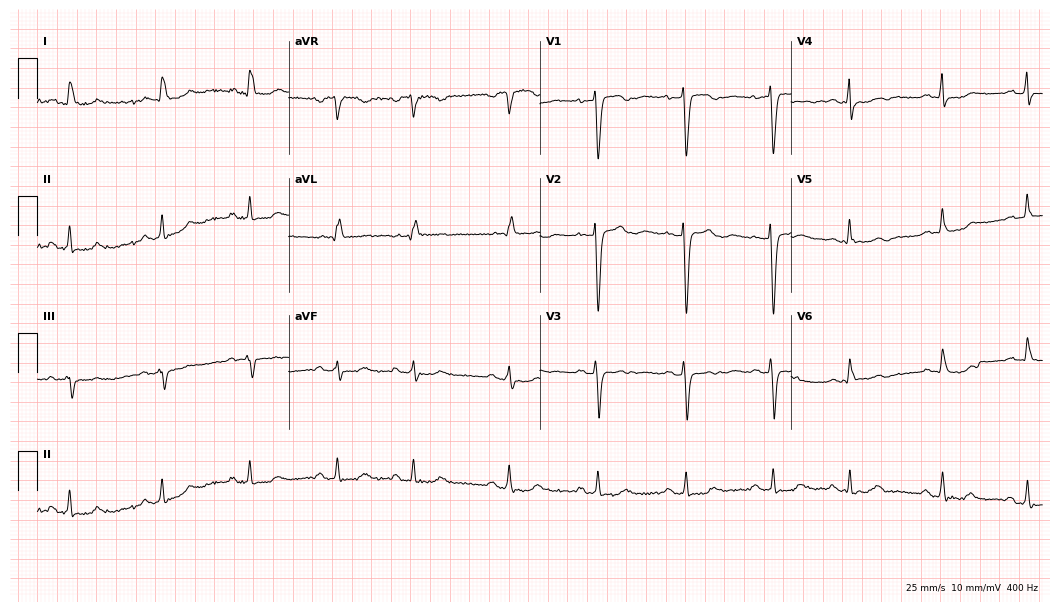
12-lead ECG from a woman, 50 years old (10.2-second recording at 400 Hz). No first-degree AV block, right bundle branch block, left bundle branch block, sinus bradycardia, atrial fibrillation or sinus tachycardia recorded for this tracing.